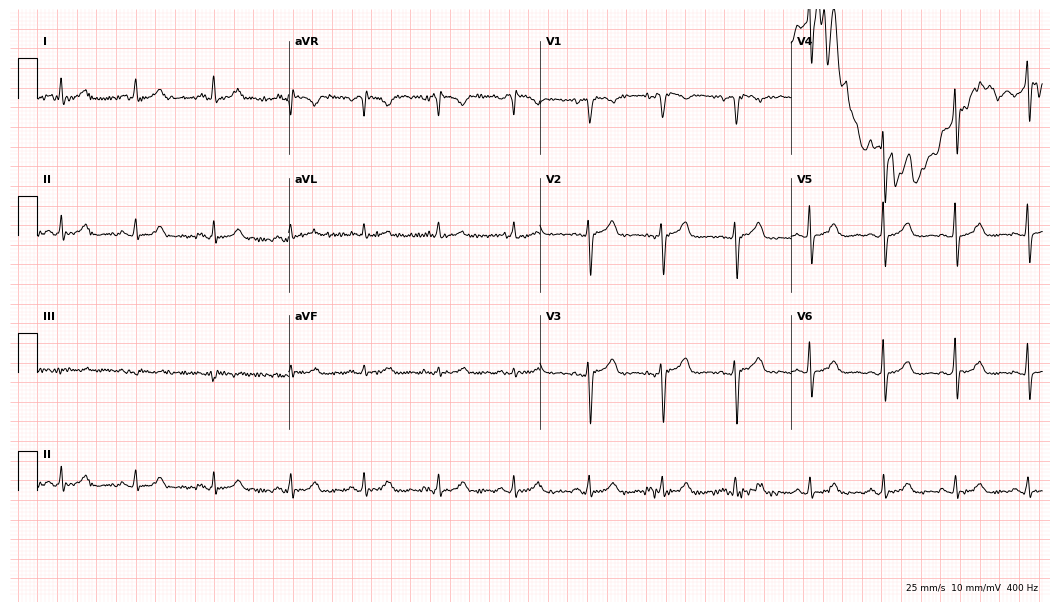
Resting 12-lead electrocardiogram (10.2-second recording at 400 Hz). Patient: a man, 43 years old. Read as a normal ECG.